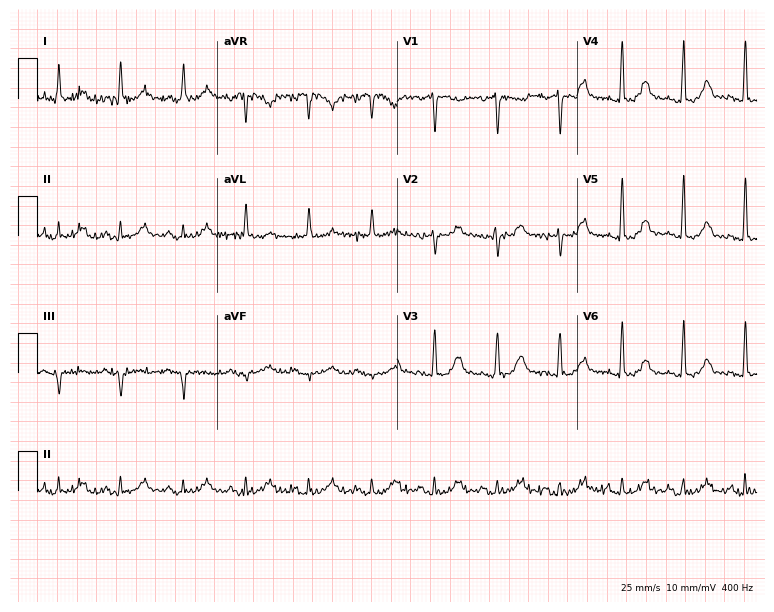
12-lead ECG from a man, 37 years old. Recorded interpretation: within normal limits.